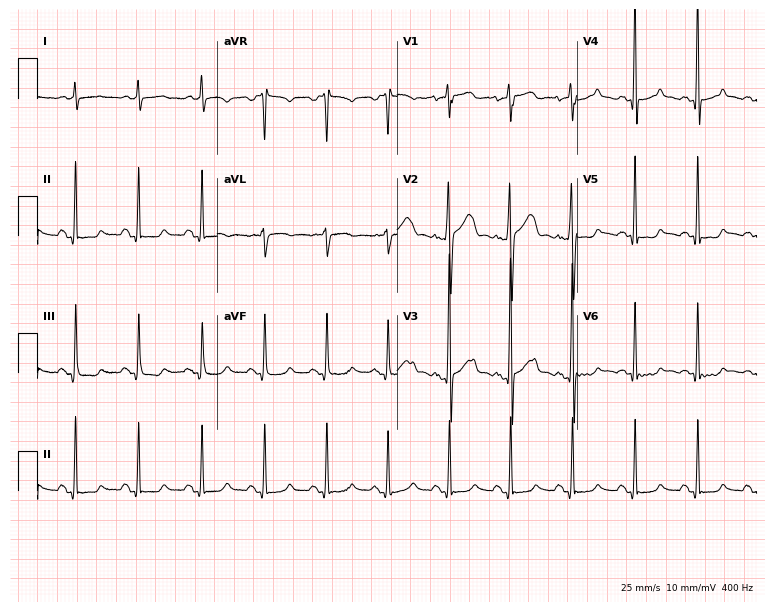
Standard 12-lead ECG recorded from a 47-year-old male patient (7.3-second recording at 400 Hz). None of these six findings is recorded: first-degree AV block, right bundle branch block, left bundle branch block, sinus bradycardia, atrial fibrillation, sinus tachycardia.